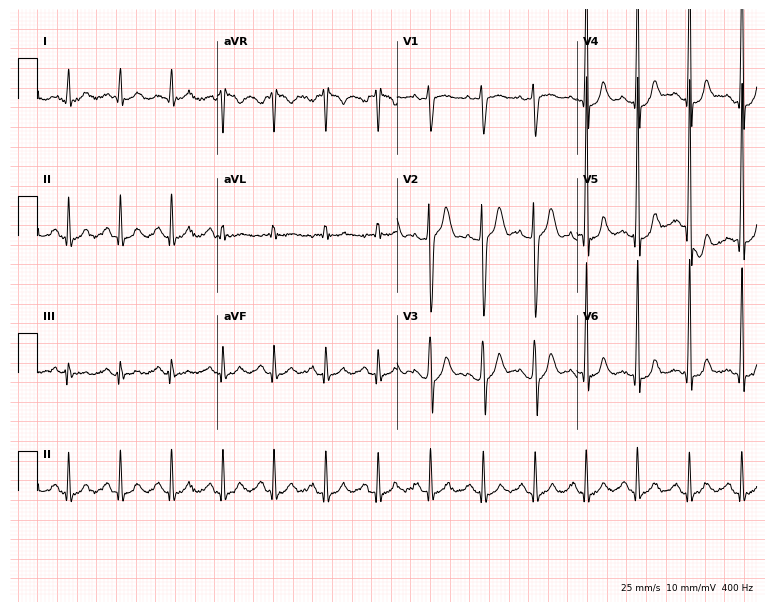
Resting 12-lead electrocardiogram (7.3-second recording at 400 Hz). Patient: a man, 32 years old. The tracing shows sinus tachycardia (a sinus rate of 100 beats per minute or more).